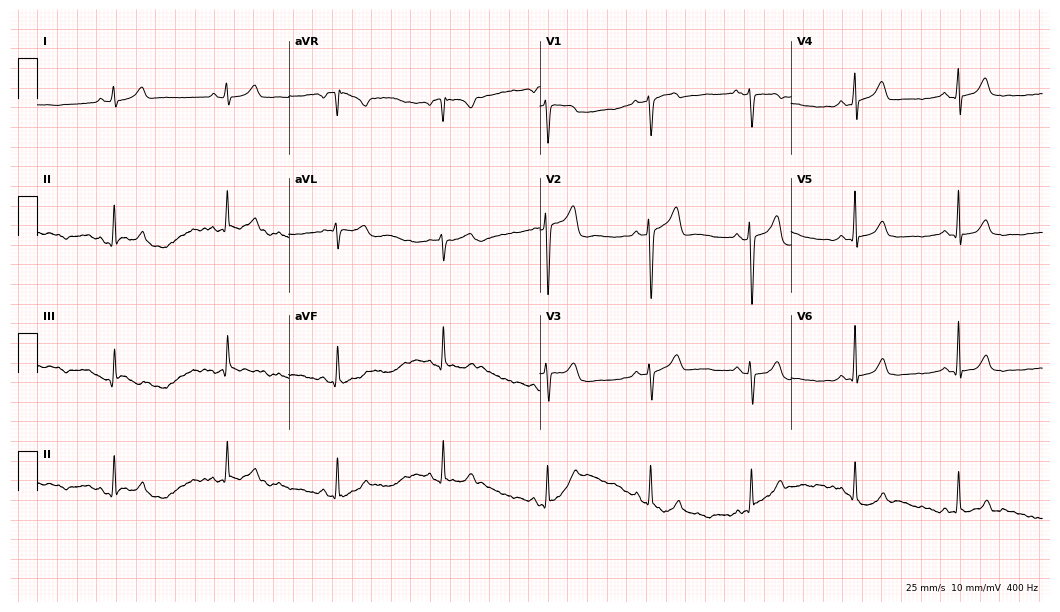
ECG — a 51-year-old female. Screened for six findings — first-degree AV block, right bundle branch block (RBBB), left bundle branch block (LBBB), sinus bradycardia, atrial fibrillation (AF), sinus tachycardia — none is recorded.